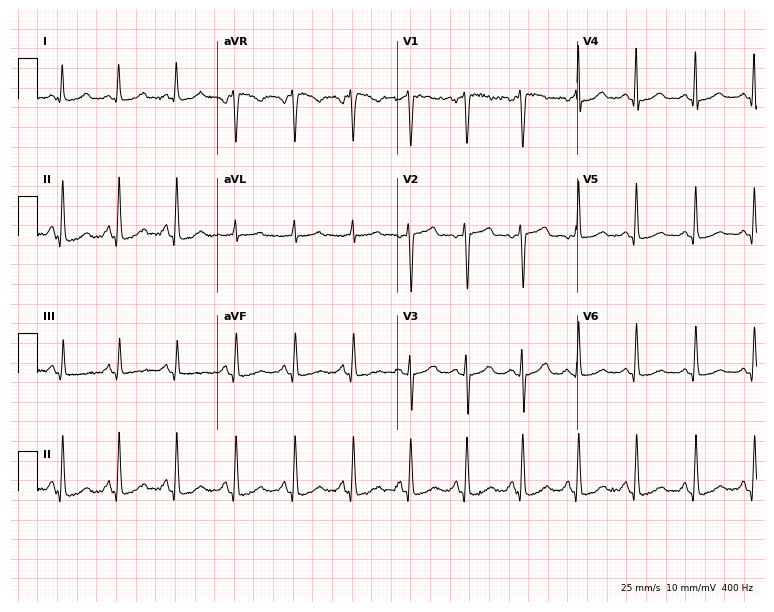
12-lead ECG from a 43-year-old female patient. Labelled as a normal ECG.